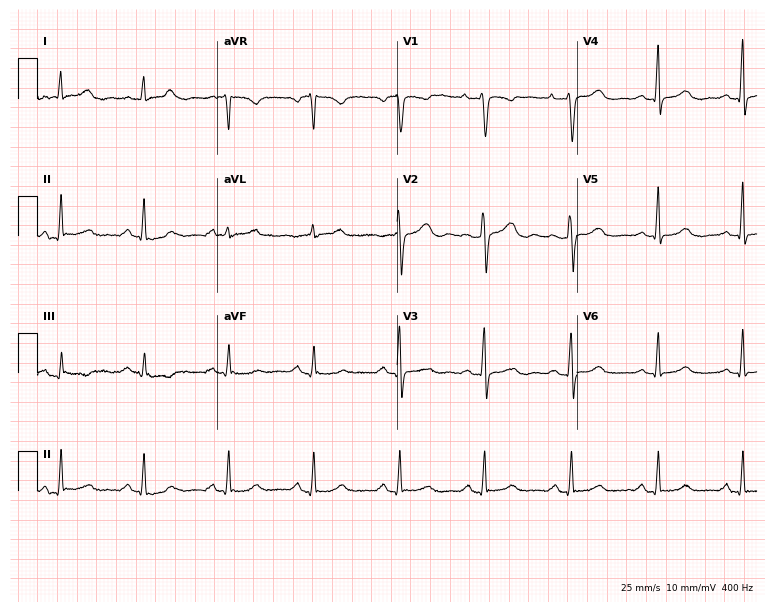
12-lead ECG from a 52-year-old female patient (7.3-second recording at 400 Hz). Recorded interpretation: within normal limits.